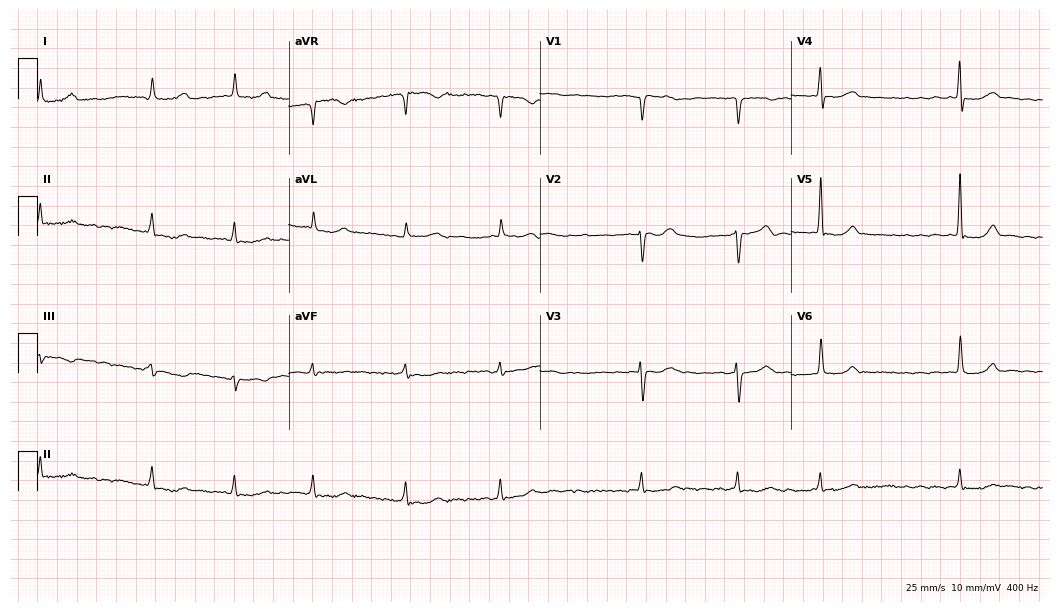
Standard 12-lead ECG recorded from a 65-year-old woman (10.2-second recording at 400 Hz). The tracing shows atrial fibrillation.